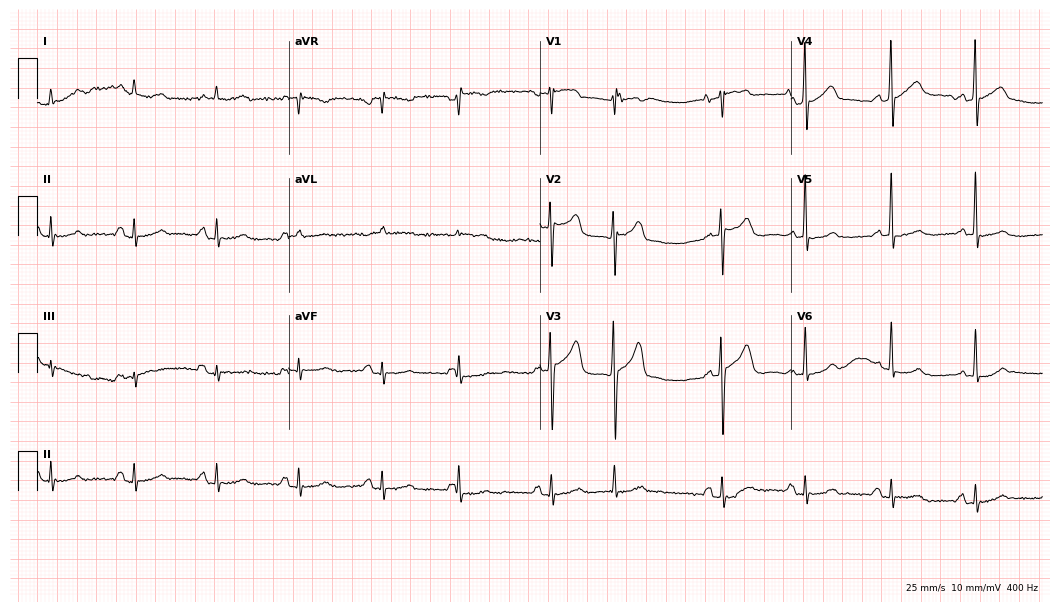
Electrocardiogram, an 88-year-old female patient. Of the six screened findings (first-degree AV block, right bundle branch block (RBBB), left bundle branch block (LBBB), sinus bradycardia, atrial fibrillation (AF), sinus tachycardia), none is recorded. Only these six findings were labelled.